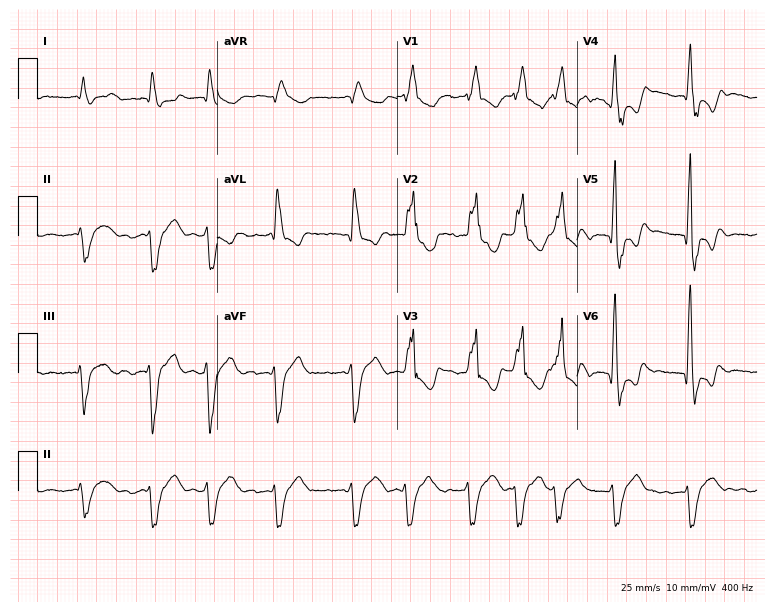
Standard 12-lead ECG recorded from a 50-year-old man. The tracing shows right bundle branch block (RBBB), atrial fibrillation (AF).